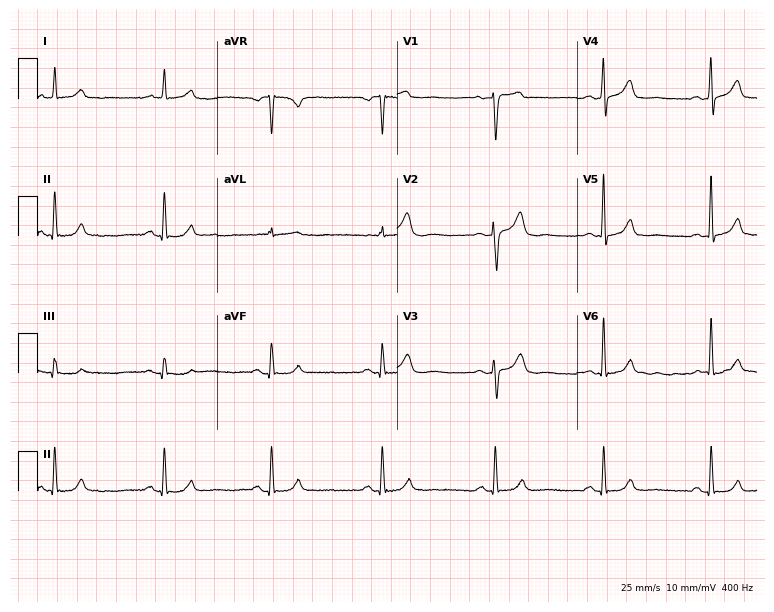
12-lead ECG from a 61-year-old male. Screened for six findings — first-degree AV block, right bundle branch block, left bundle branch block, sinus bradycardia, atrial fibrillation, sinus tachycardia — none is recorded.